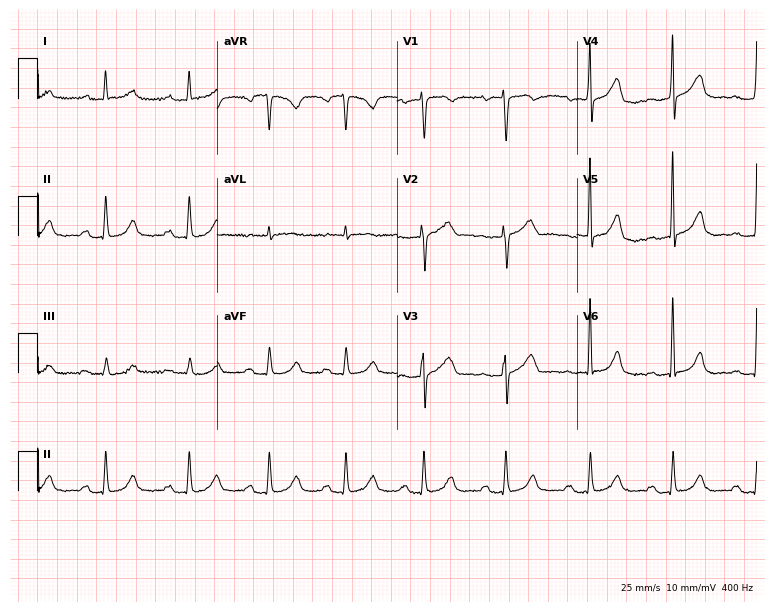
Resting 12-lead electrocardiogram. Patient: a female, 63 years old. The tracing shows first-degree AV block.